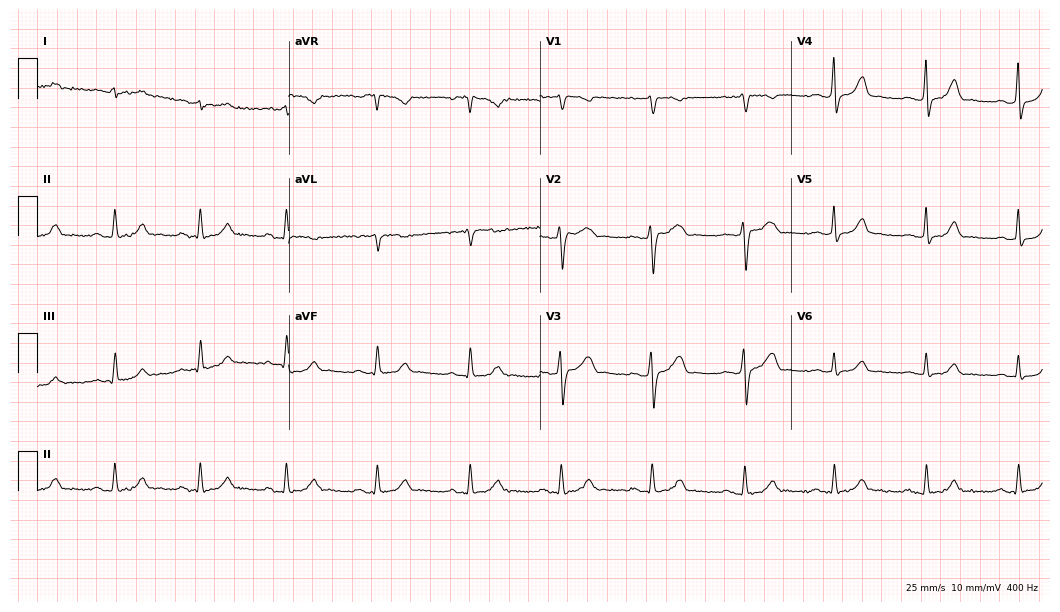
Electrocardiogram, a 43-year-old male patient. Overall reading on record: normal ECG.